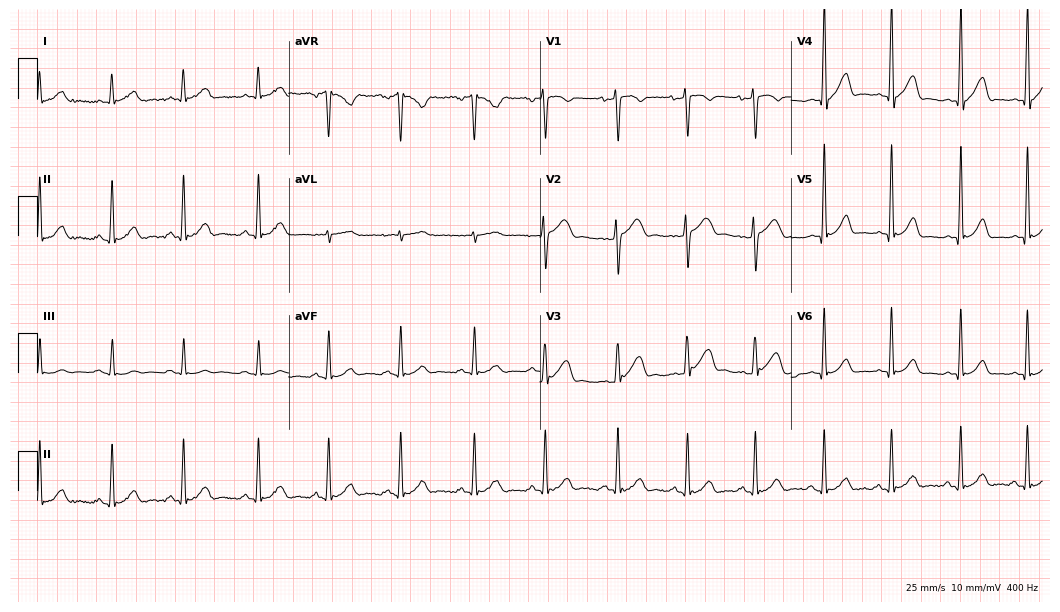
ECG — an 18-year-old male. Screened for six findings — first-degree AV block, right bundle branch block, left bundle branch block, sinus bradycardia, atrial fibrillation, sinus tachycardia — none is recorded.